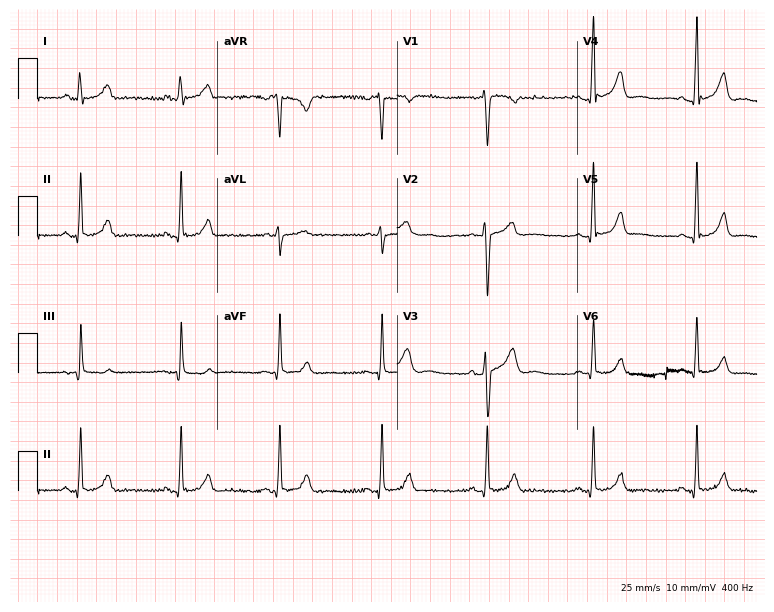
Electrocardiogram, a 44-year-old man. Of the six screened findings (first-degree AV block, right bundle branch block (RBBB), left bundle branch block (LBBB), sinus bradycardia, atrial fibrillation (AF), sinus tachycardia), none is recorded.